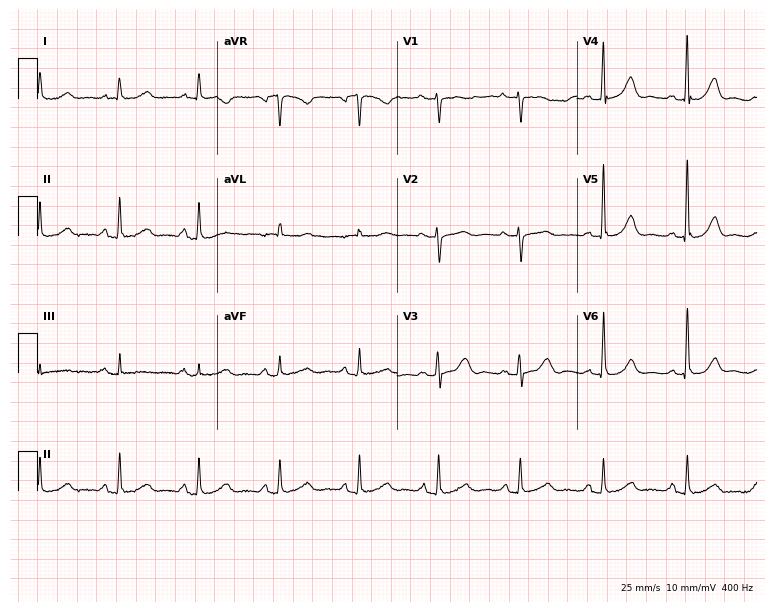
ECG — a 74-year-old woman. Screened for six findings — first-degree AV block, right bundle branch block (RBBB), left bundle branch block (LBBB), sinus bradycardia, atrial fibrillation (AF), sinus tachycardia — none is recorded. Other findings, if any, are not listed.